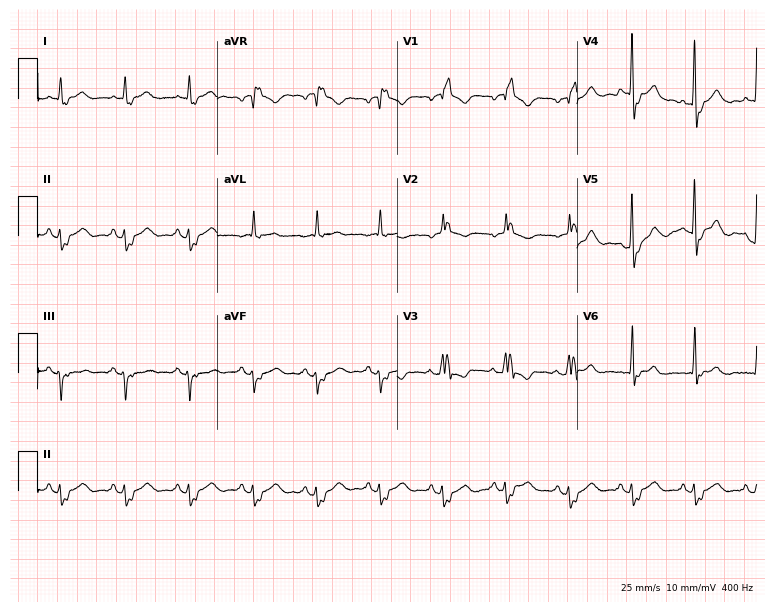
ECG (7.3-second recording at 400 Hz) — a male patient, 82 years old. Findings include right bundle branch block.